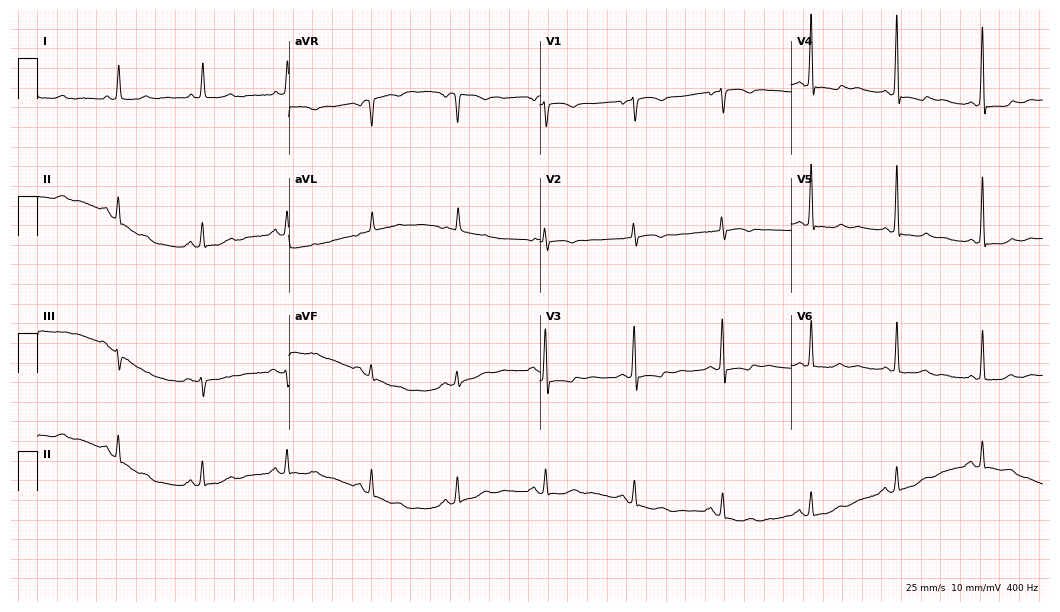
ECG — a female patient, 77 years old. Screened for six findings — first-degree AV block, right bundle branch block, left bundle branch block, sinus bradycardia, atrial fibrillation, sinus tachycardia — none is recorded. Only these six findings were labelled.